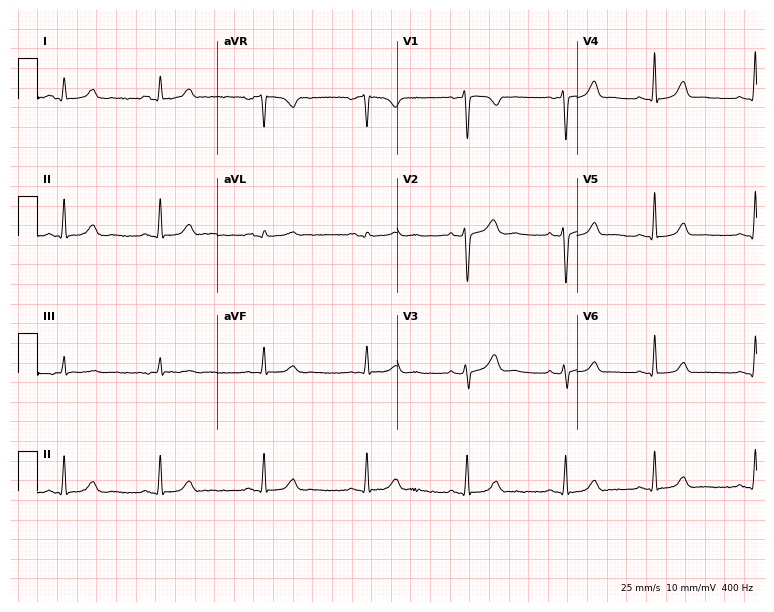
12-lead ECG from a 34-year-old female patient. Screened for six findings — first-degree AV block, right bundle branch block (RBBB), left bundle branch block (LBBB), sinus bradycardia, atrial fibrillation (AF), sinus tachycardia — none is recorded. Other findings, if any, are not listed.